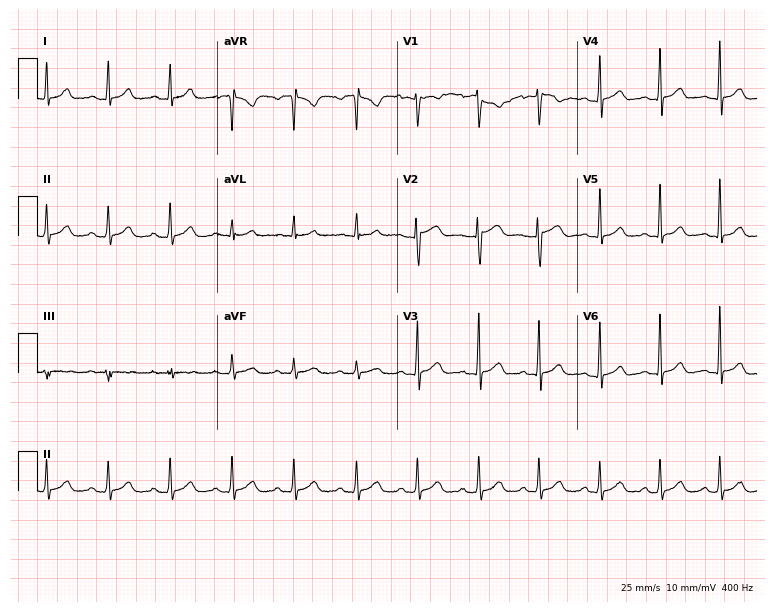
Electrocardiogram, a female patient, 34 years old. Overall reading on record: normal ECG.